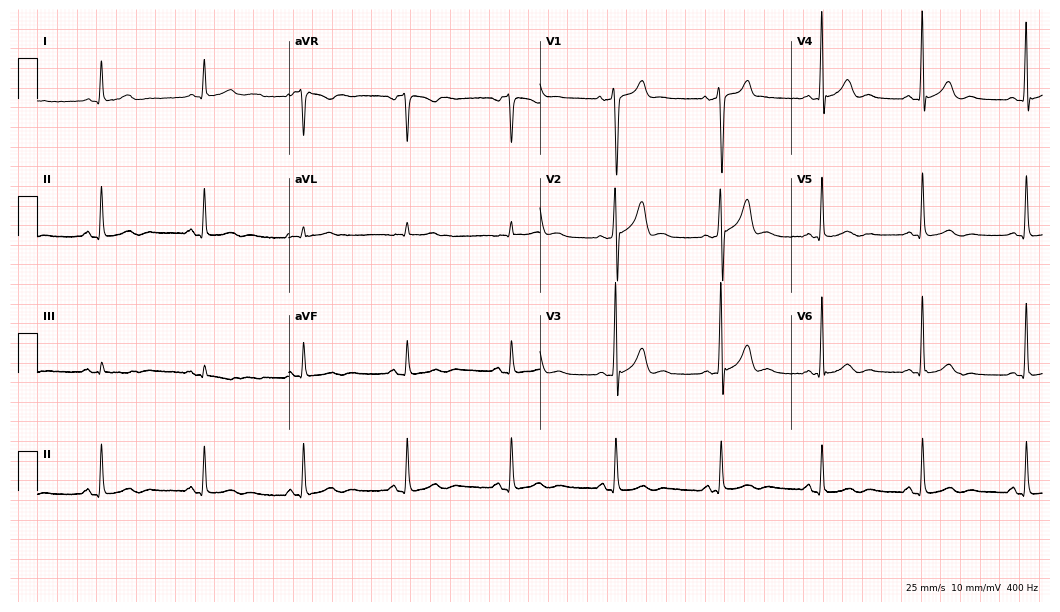
Electrocardiogram, a 57-year-old male patient. Overall reading on record: normal ECG.